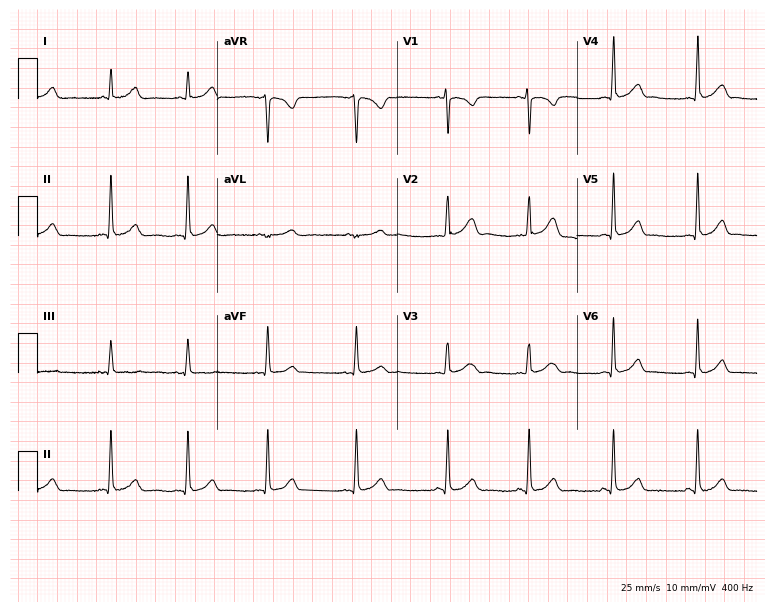
12-lead ECG (7.3-second recording at 400 Hz) from an 18-year-old woman. Labelled as a normal ECG.